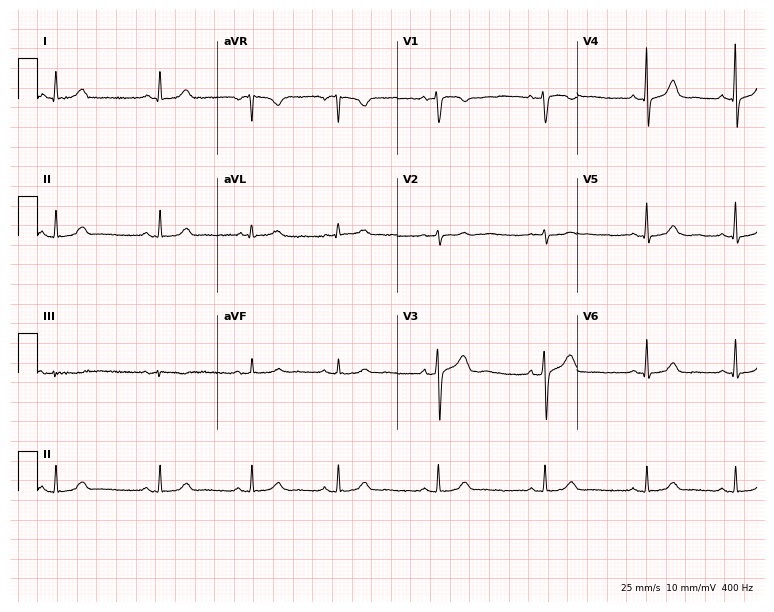
12-lead ECG from a 31-year-old woman (7.3-second recording at 400 Hz). Recorded interpretation: within normal limits.